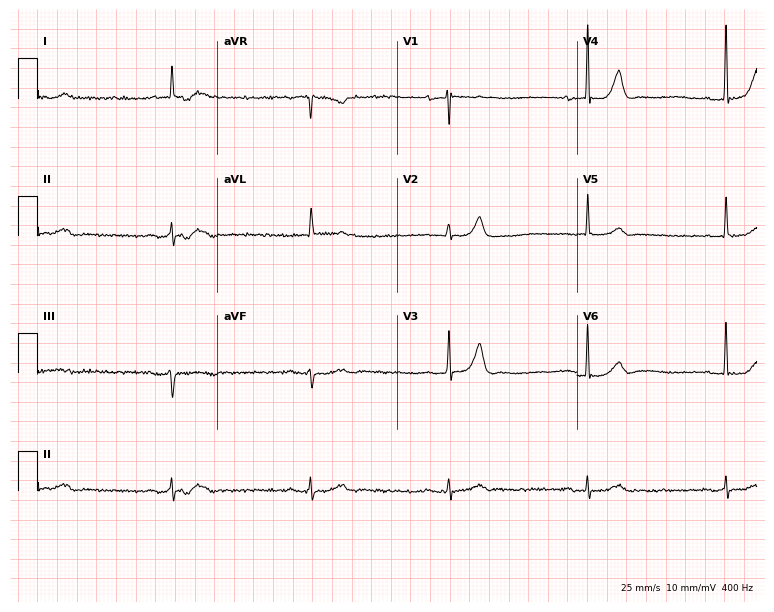
Electrocardiogram (7.3-second recording at 400 Hz), a 77-year-old male patient. Interpretation includes first-degree AV block, sinus bradycardia (a sinus rate of 50 beats per minute or less).